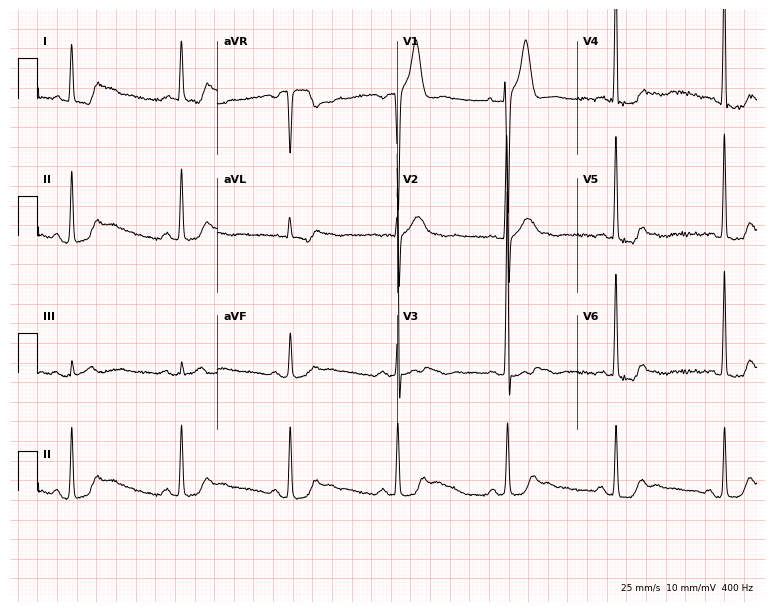
Standard 12-lead ECG recorded from a 77-year-old male patient (7.3-second recording at 400 Hz). None of these six findings is recorded: first-degree AV block, right bundle branch block, left bundle branch block, sinus bradycardia, atrial fibrillation, sinus tachycardia.